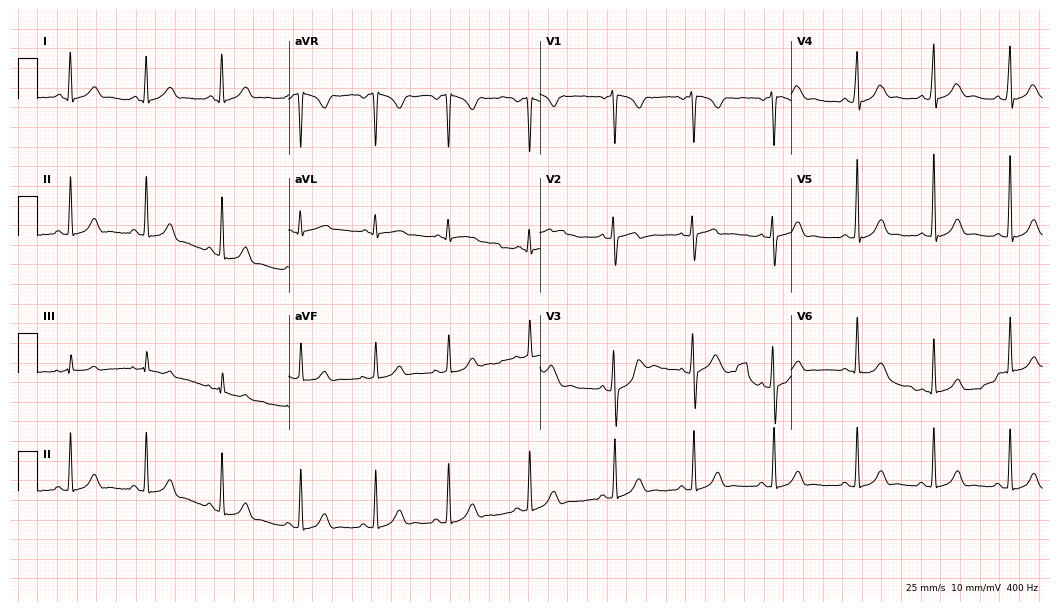
ECG — a 17-year-old female patient. Labelled as a normal ECG.